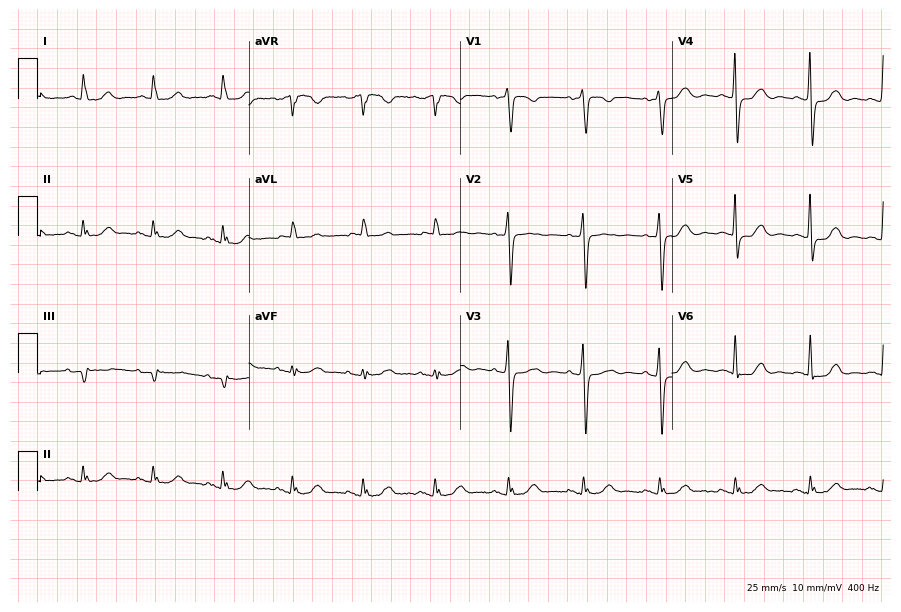
ECG (8.6-second recording at 400 Hz) — a 70-year-old female. Screened for six findings — first-degree AV block, right bundle branch block, left bundle branch block, sinus bradycardia, atrial fibrillation, sinus tachycardia — none is recorded.